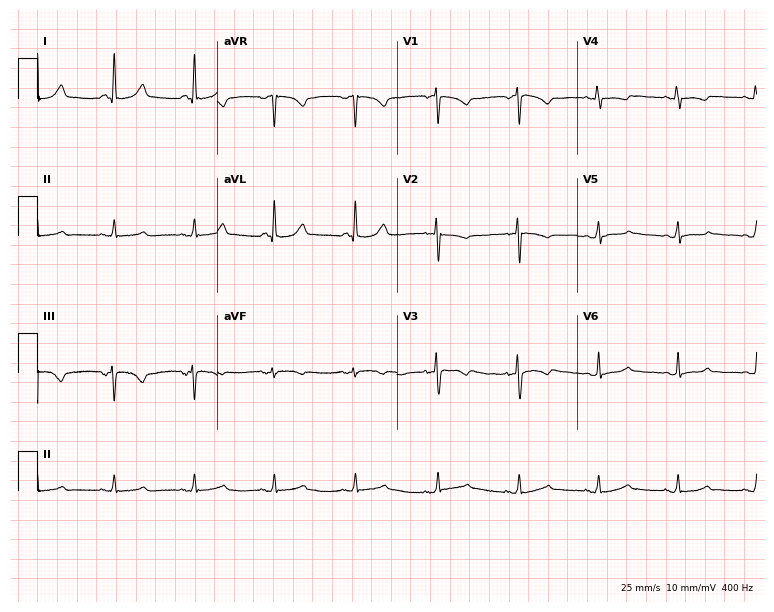
12-lead ECG from a female, 26 years old. Screened for six findings — first-degree AV block, right bundle branch block, left bundle branch block, sinus bradycardia, atrial fibrillation, sinus tachycardia — none is recorded.